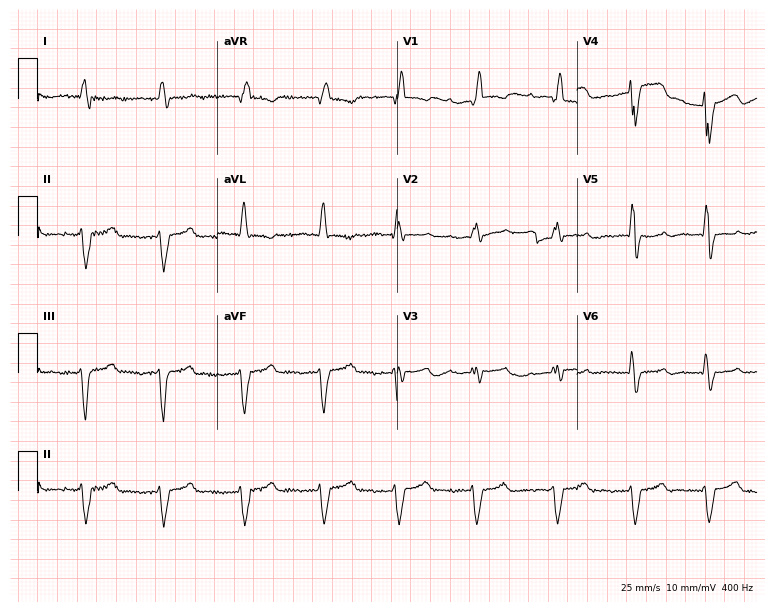
12-lead ECG (7.3-second recording at 400 Hz) from a 70-year-old woman. Screened for six findings — first-degree AV block, right bundle branch block, left bundle branch block, sinus bradycardia, atrial fibrillation, sinus tachycardia — none is recorded.